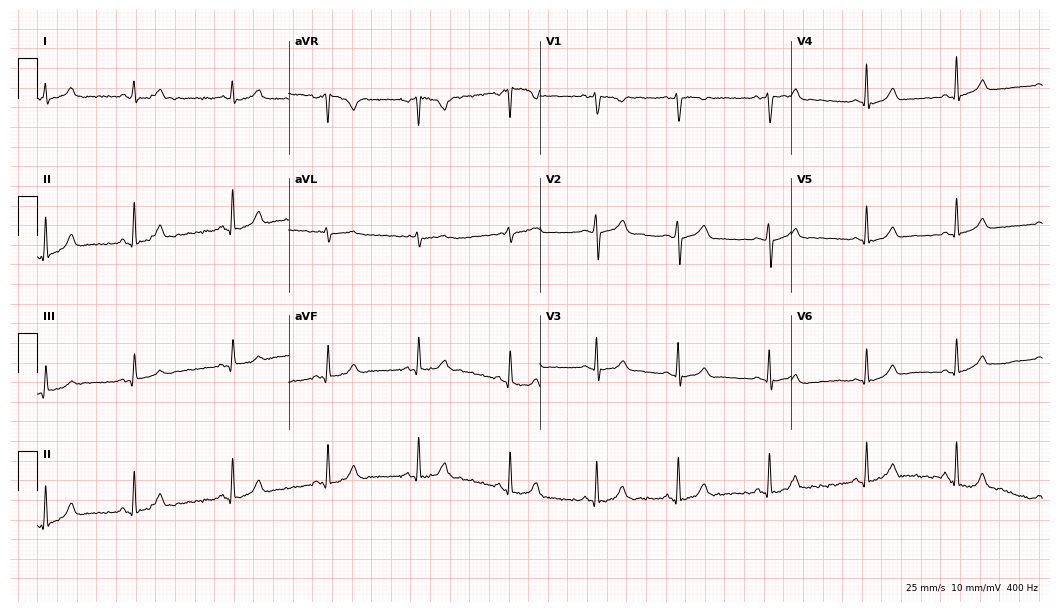
12-lead ECG (10.2-second recording at 400 Hz) from a 17-year-old woman. Labelled as a normal ECG.